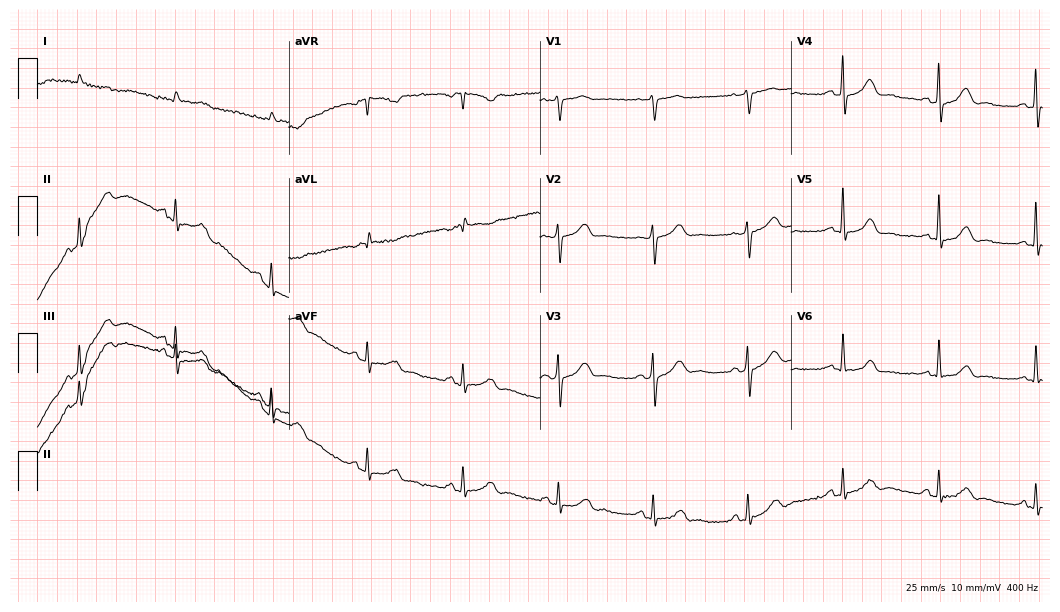
Electrocardiogram (10.2-second recording at 400 Hz), an 83-year-old female patient. Overall reading on record: normal ECG.